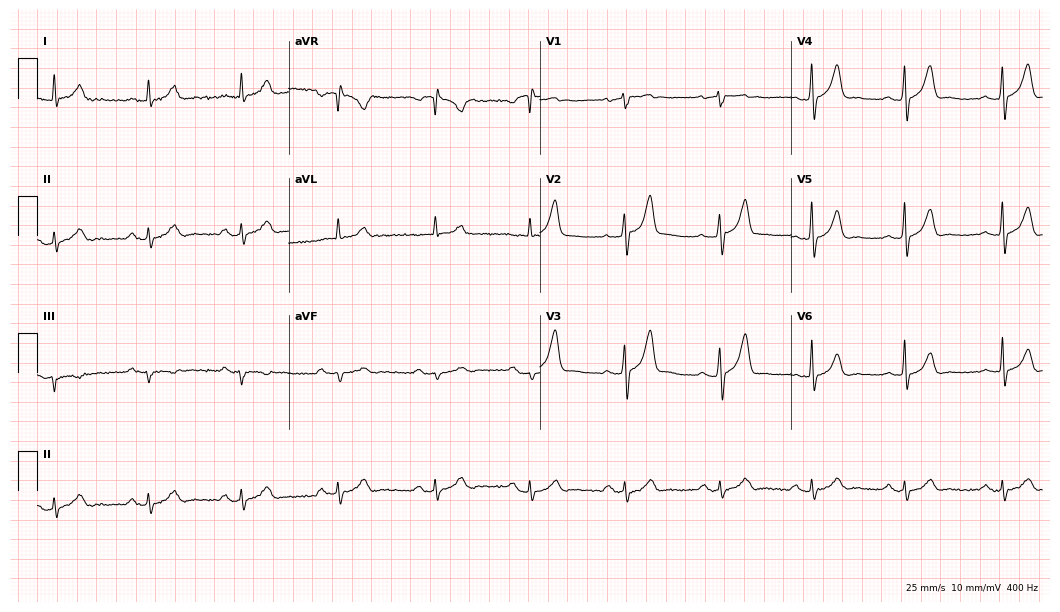
Electrocardiogram (10.2-second recording at 400 Hz), a 55-year-old male. Overall reading on record: normal ECG.